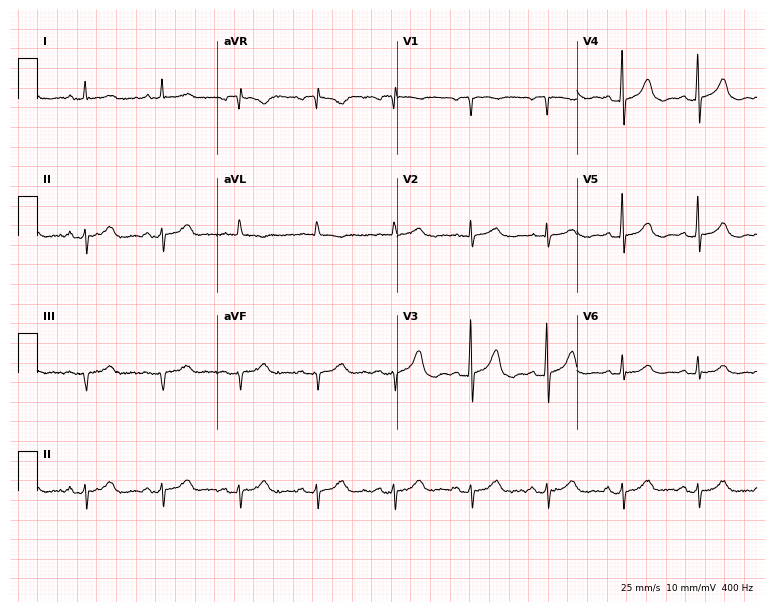
Resting 12-lead electrocardiogram (7.3-second recording at 400 Hz). Patient: a female, 76 years old. None of these six findings is recorded: first-degree AV block, right bundle branch block, left bundle branch block, sinus bradycardia, atrial fibrillation, sinus tachycardia.